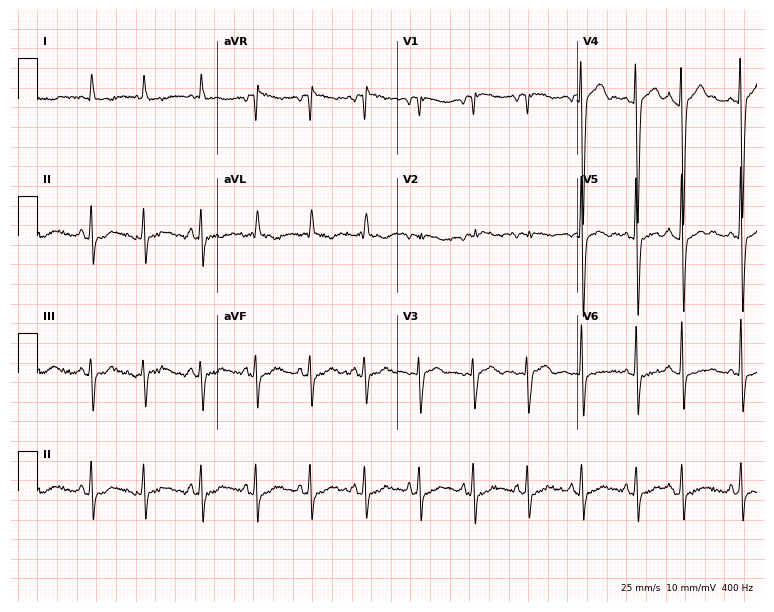
Resting 12-lead electrocardiogram. Patient: a female, 81 years old. None of these six findings is recorded: first-degree AV block, right bundle branch block, left bundle branch block, sinus bradycardia, atrial fibrillation, sinus tachycardia.